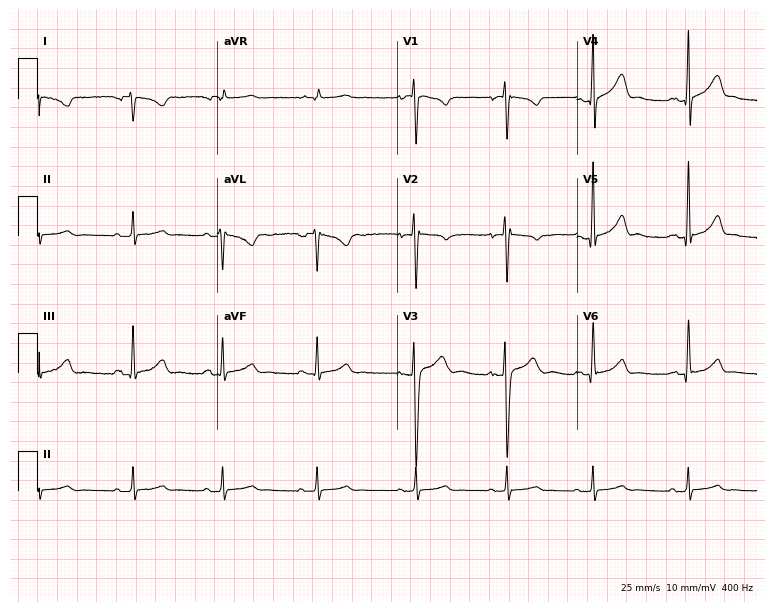
12-lead ECG (7.3-second recording at 400 Hz) from a man, 17 years old. Screened for six findings — first-degree AV block, right bundle branch block, left bundle branch block, sinus bradycardia, atrial fibrillation, sinus tachycardia — none is recorded. Findings outside these six are not listed.